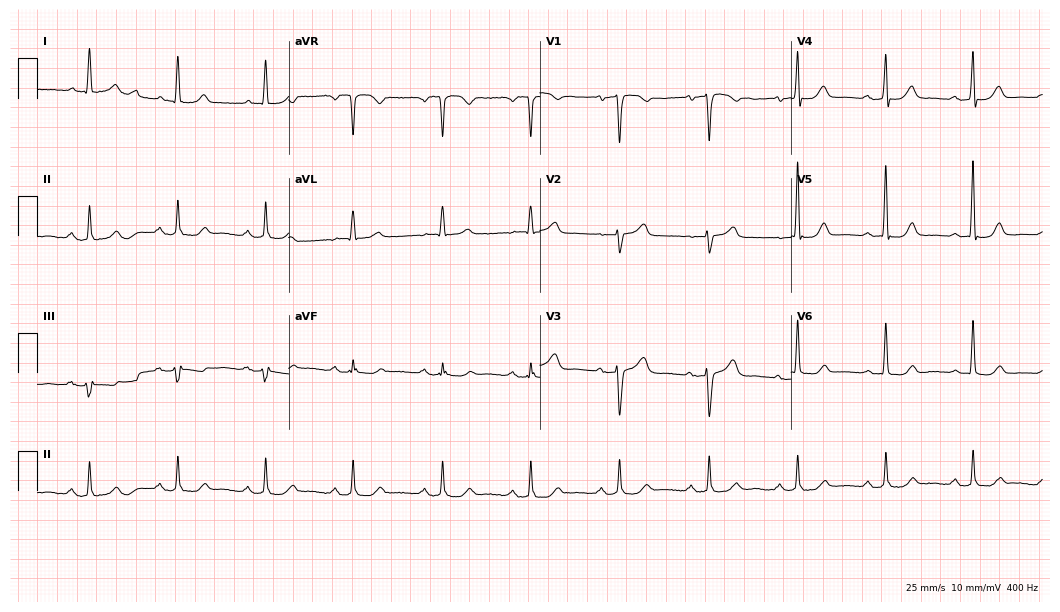
12-lead ECG from a female patient, 69 years old. Screened for six findings — first-degree AV block, right bundle branch block, left bundle branch block, sinus bradycardia, atrial fibrillation, sinus tachycardia — none is recorded. Findings outside these six are not listed.